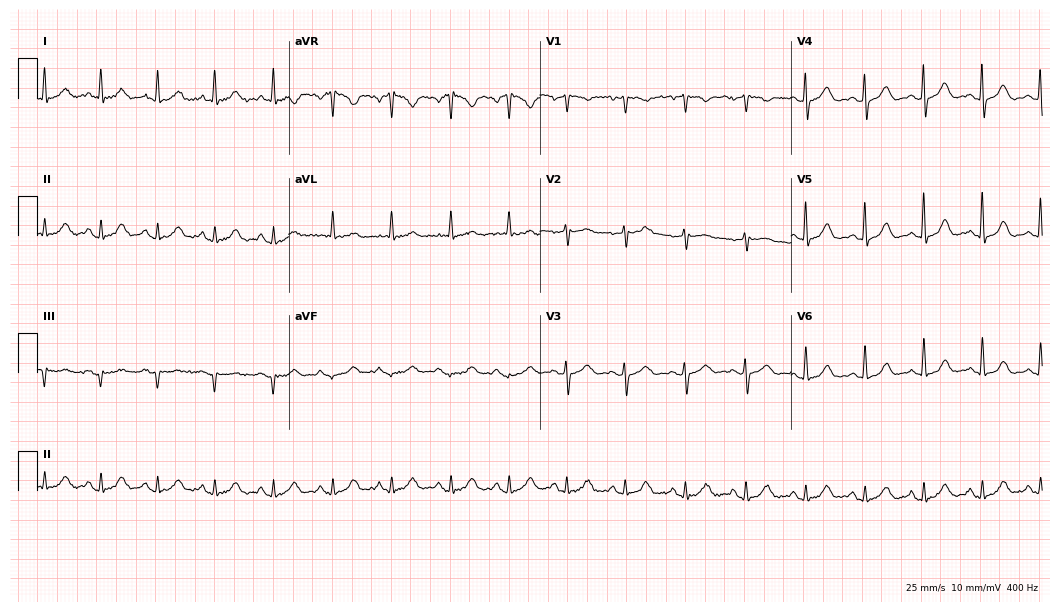
Standard 12-lead ECG recorded from a 72-year-old female patient. The tracing shows sinus tachycardia (a sinus rate of 100 beats per minute or more).